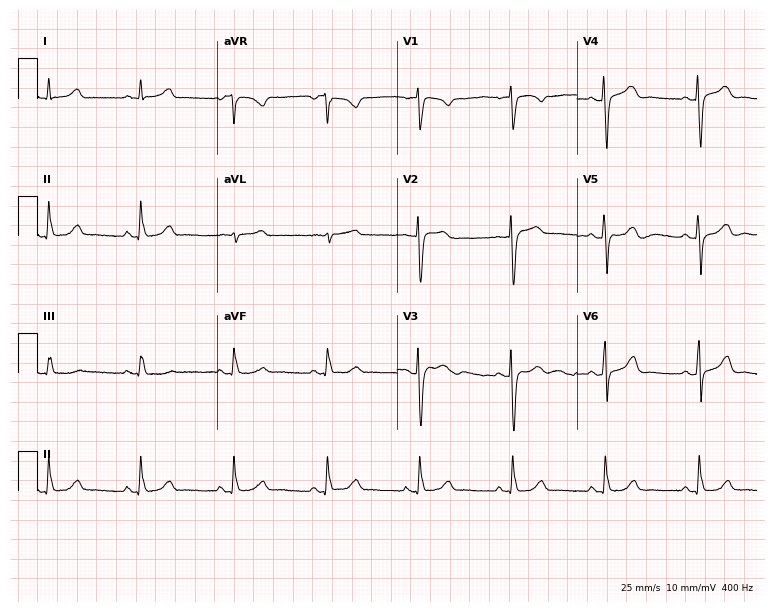
Electrocardiogram (7.3-second recording at 400 Hz), a woman, 45 years old. Overall reading on record: normal ECG.